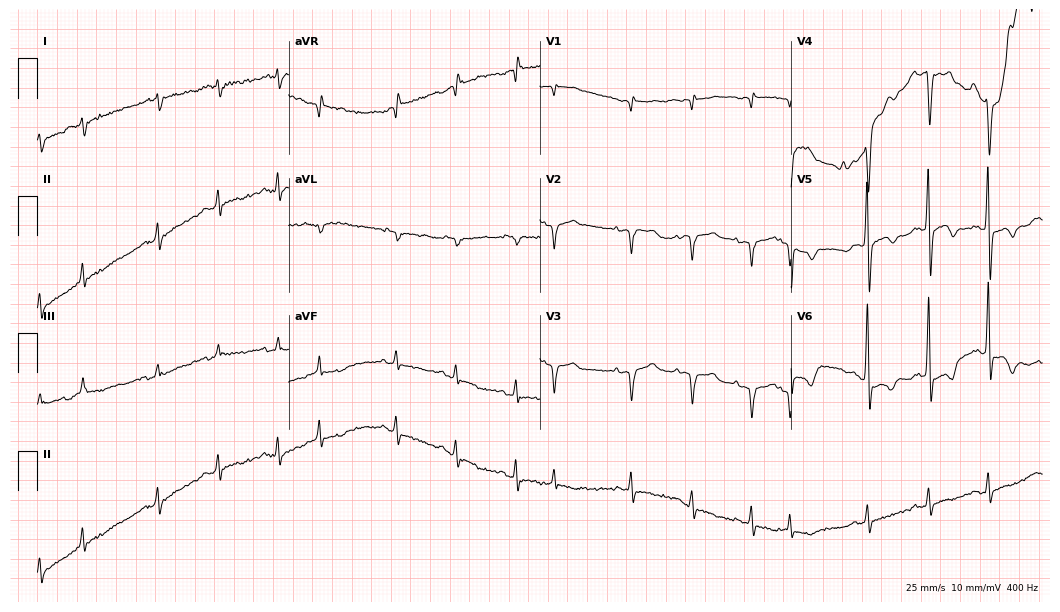
Resting 12-lead electrocardiogram. Patient: a male, 80 years old. None of these six findings is recorded: first-degree AV block, right bundle branch block, left bundle branch block, sinus bradycardia, atrial fibrillation, sinus tachycardia.